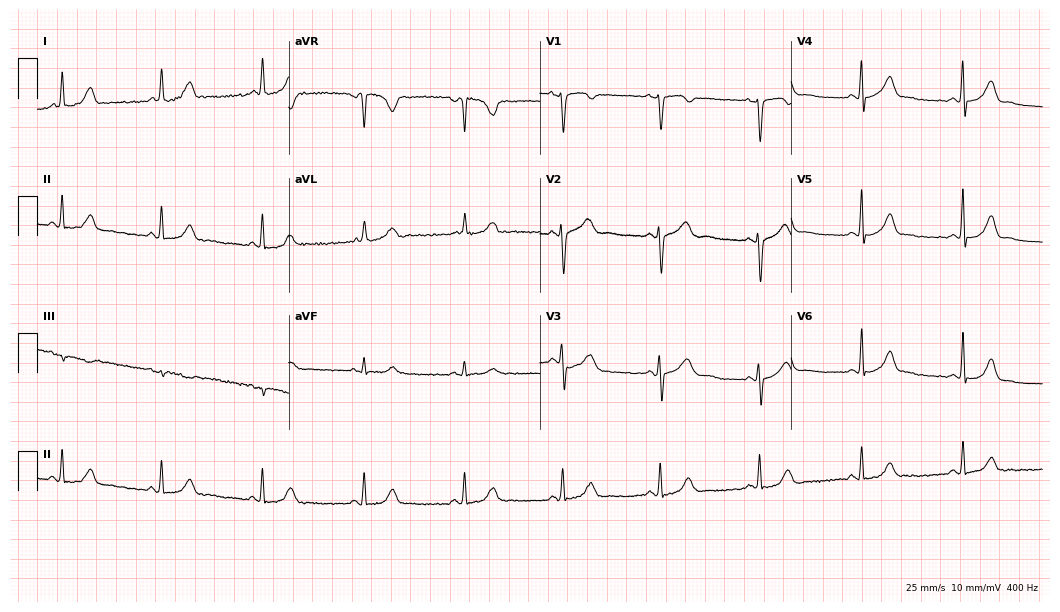
Standard 12-lead ECG recorded from a 38-year-old woman (10.2-second recording at 400 Hz). Read as a normal ECG.